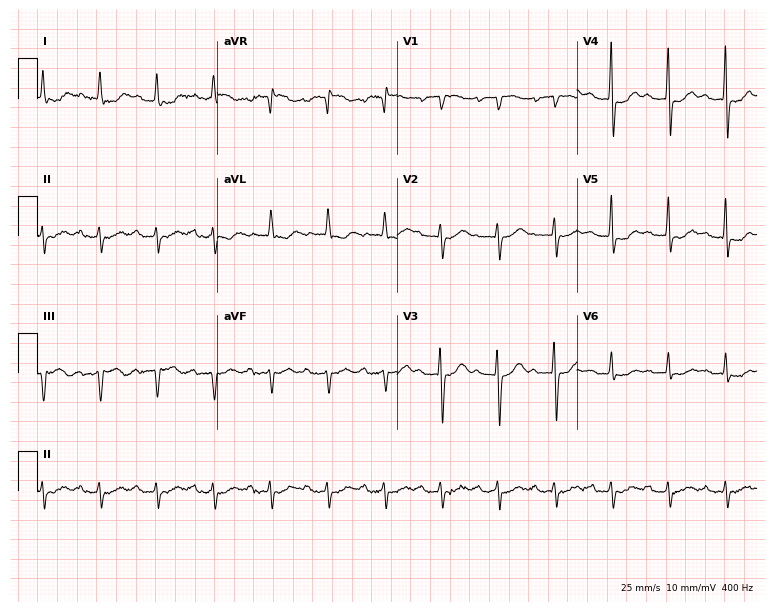
12-lead ECG from an 82-year-old female patient. No first-degree AV block, right bundle branch block (RBBB), left bundle branch block (LBBB), sinus bradycardia, atrial fibrillation (AF) or sinus tachycardia recorded for this tracing.